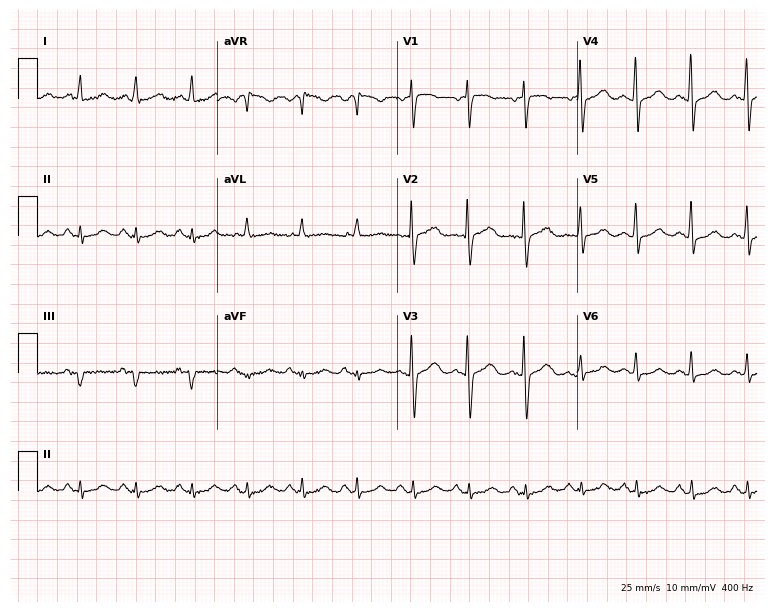
ECG (7.3-second recording at 400 Hz) — an 82-year-old woman. Findings include sinus tachycardia (a sinus rate of 100 beats per minute or more).